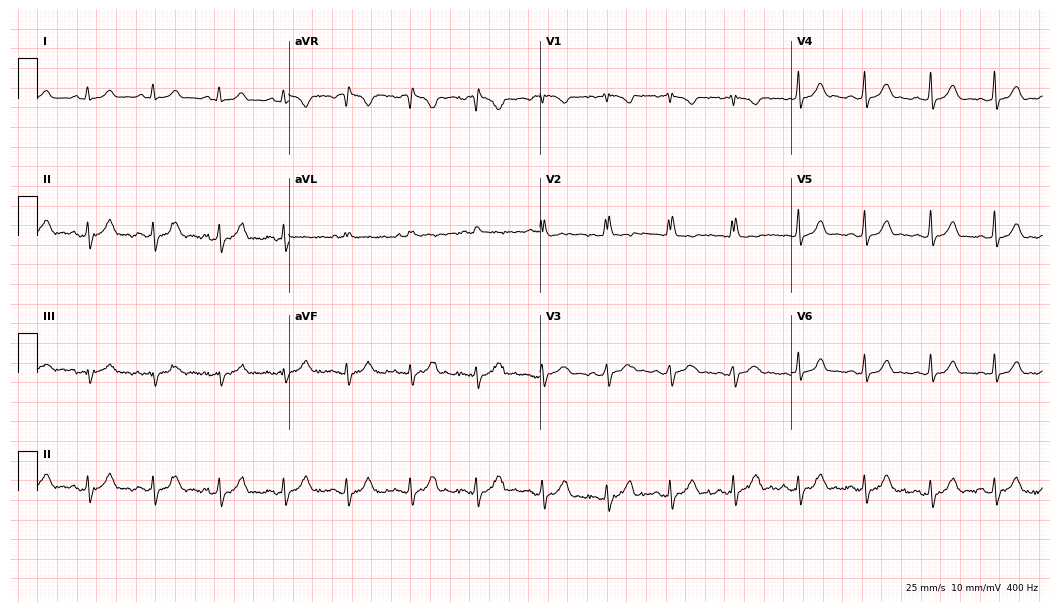
Electrocardiogram (10.2-second recording at 400 Hz), a female, 19 years old. Of the six screened findings (first-degree AV block, right bundle branch block, left bundle branch block, sinus bradycardia, atrial fibrillation, sinus tachycardia), none is recorded.